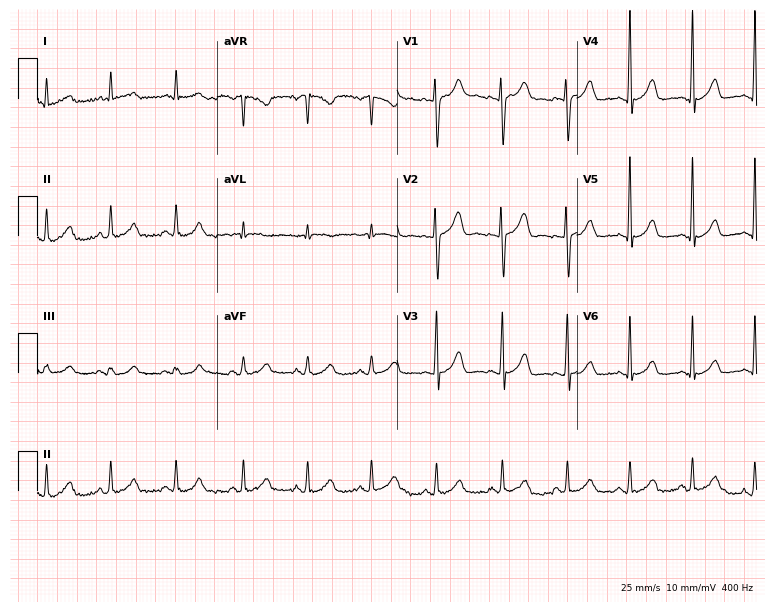
Resting 12-lead electrocardiogram. Patient: a woman, 54 years old. None of these six findings is recorded: first-degree AV block, right bundle branch block (RBBB), left bundle branch block (LBBB), sinus bradycardia, atrial fibrillation (AF), sinus tachycardia. Other findings, if any, are not listed.